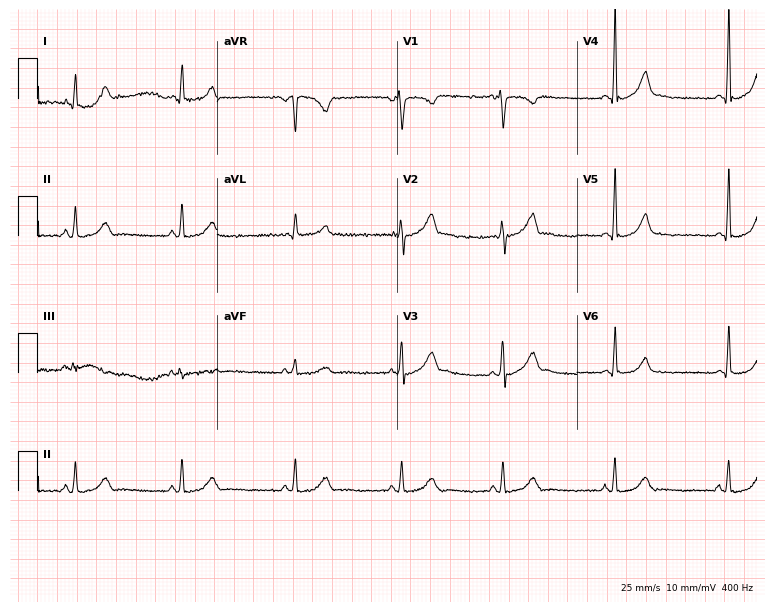
12-lead ECG from a female patient, 25 years old. Labelled as a normal ECG.